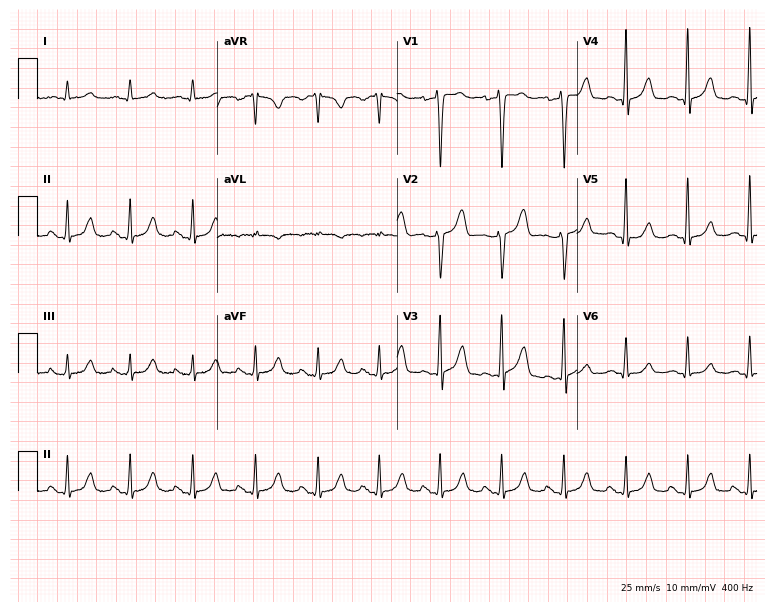
Resting 12-lead electrocardiogram (7.3-second recording at 400 Hz). Patient: a man, 58 years old. None of these six findings is recorded: first-degree AV block, right bundle branch block, left bundle branch block, sinus bradycardia, atrial fibrillation, sinus tachycardia. Other findings, if any, are not listed.